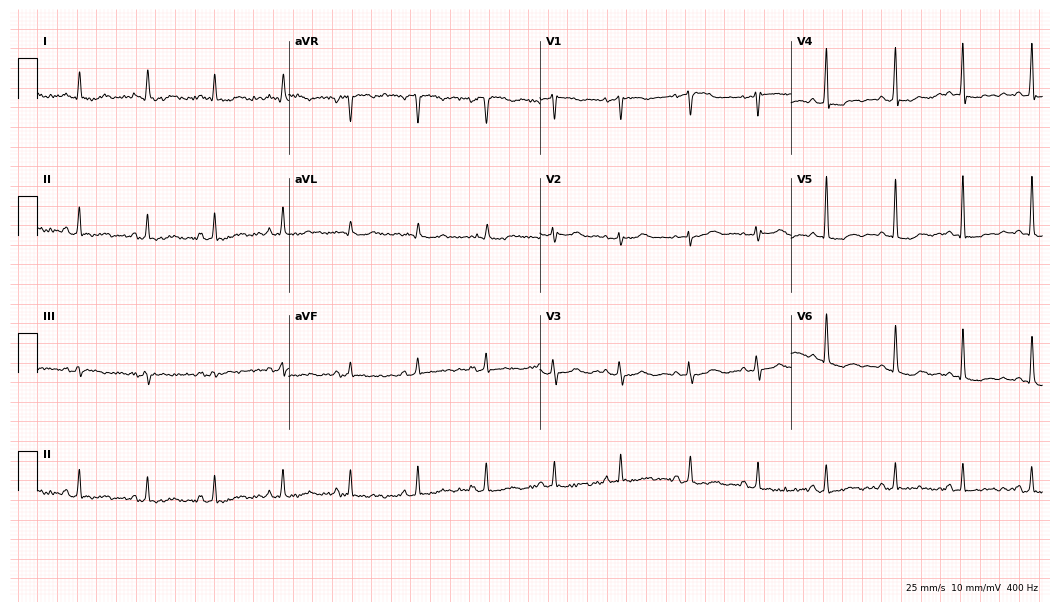
Resting 12-lead electrocardiogram (10.2-second recording at 400 Hz). Patient: a 62-year-old female. None of these six findings is recorded: first-degree AV block, right bundle branch block, left bundle branch block, sinus bradycardia, atrial fibrillation, sinus tachycardia. Only these six findings were labelled.